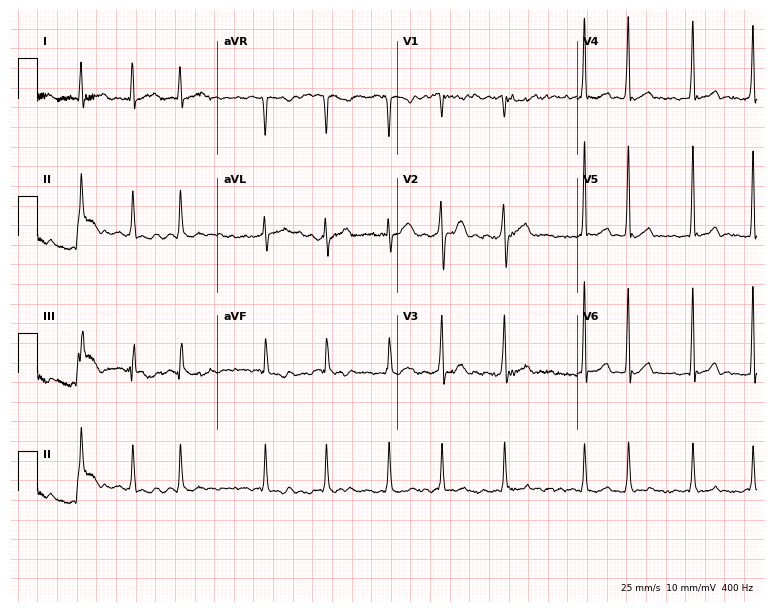
Standard 12-lead ECG recorded from a 48-year-old male patient (7.3-second recording at 400 Hz). The tracing shows atrial fibrillation (AF).